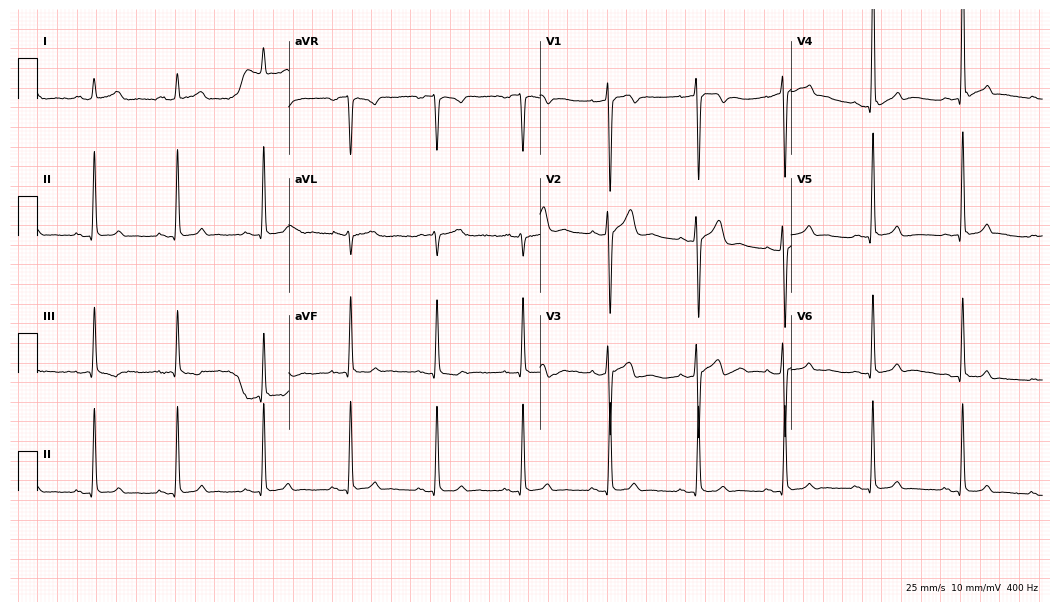
Electrocardiogram, a male patient, 23 years old. Of the six screened findings (first-degree AV block, right bundle branch block, left bundle branch block, sinus bradycardia, atrial fibrillation, sinus tachycardia), none is recorded. Other findings, if any, are not listed.